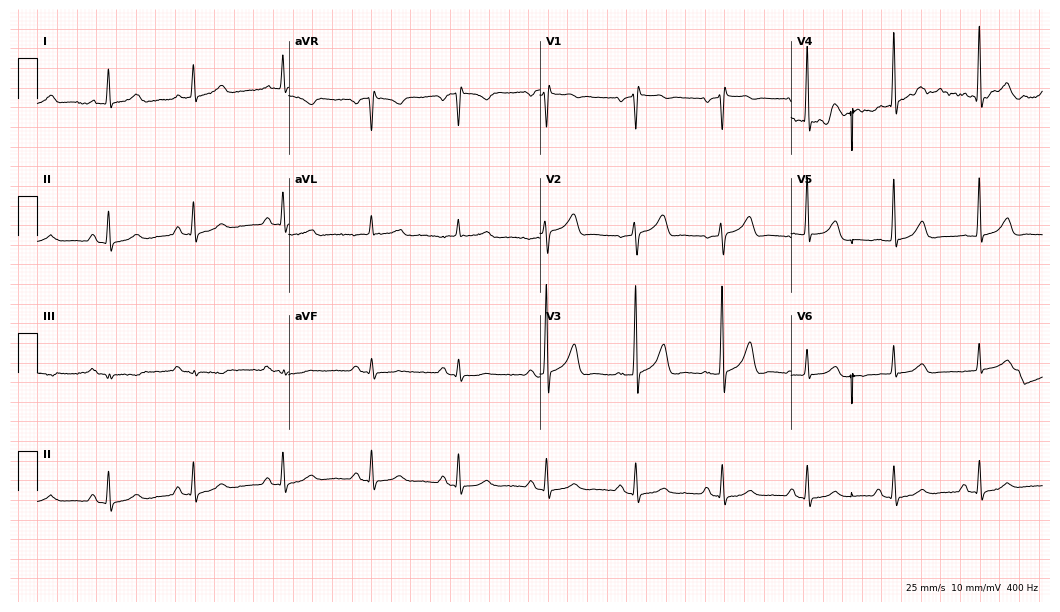
Standard 12-lead ECG recorded from a male, 75 years old (10.2-second recording at 400 Hz). None of these six findings is recorded: first-degree AV block, right bundle branch block, left bundle branch block, sinus bradycardia, atrial fibrillation, sinus tachycardia. Only these six findings were labelled.